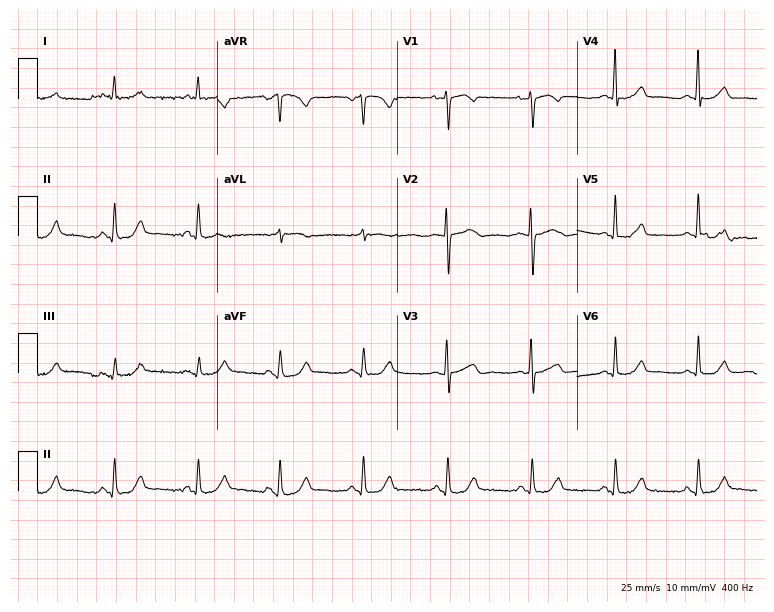
Standard 12-lead ECG recorded from an 84-year-old female patient. Read as a normal ECG.